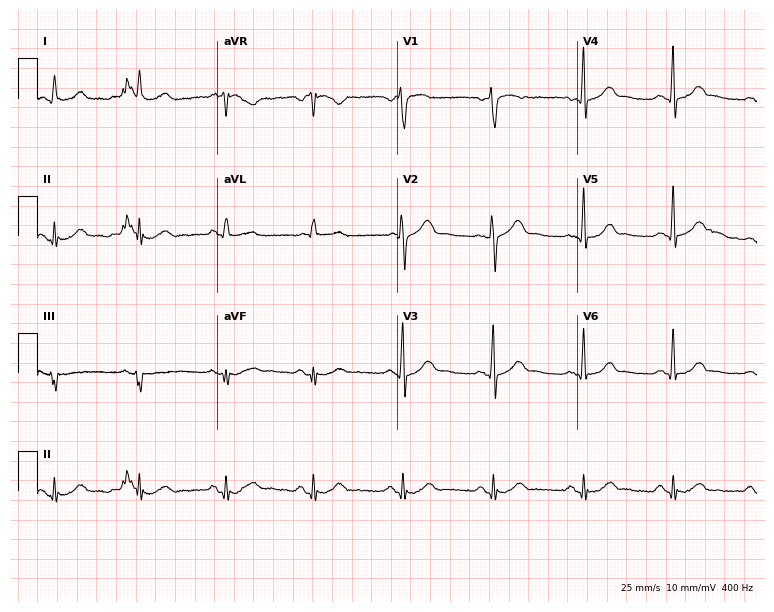
12-lead ECG from a 56-year-old male patient. Labelled as a normal ECG.